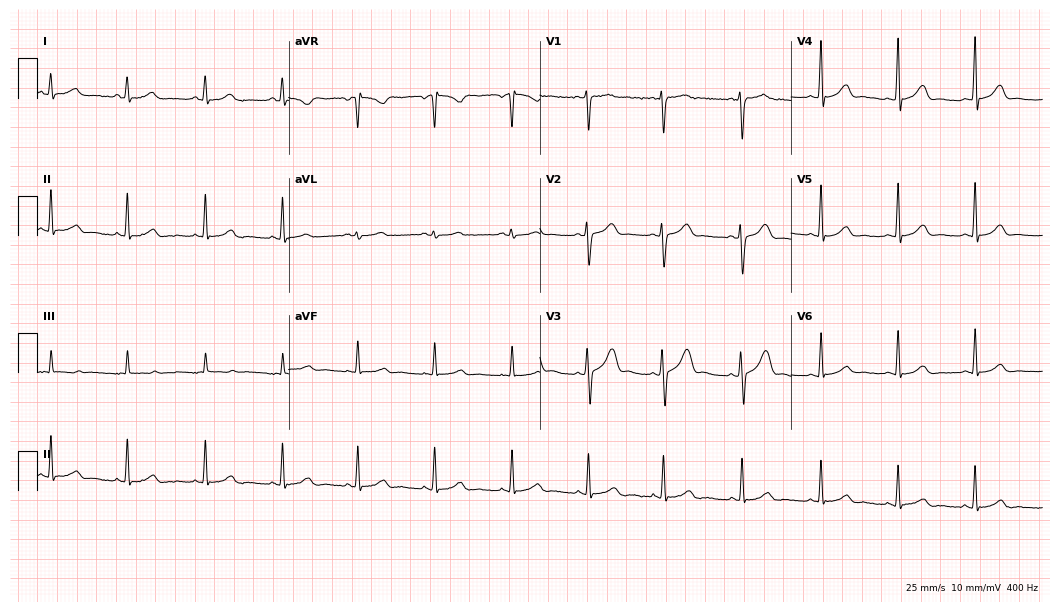
12-lead ECG from a female patient, 30 years old (10.2-second recording at 400 Hz). Recorded interpretation: within normal limits.